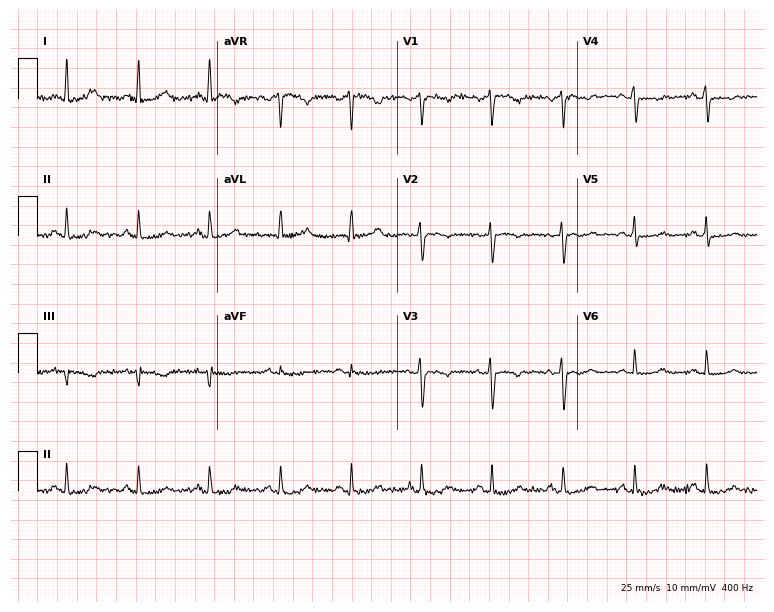
Resting 12-lead electrocardiogram. Patient: a woman, 38 years old. None of these six findings is recorded: first-degree AV block, right bundle branch block (RBBB), left bundle branch block (LBBB), sinus bradycardia, atrial fibrillation (AF), sinus tachycardia. Findings outside these six are not listed.